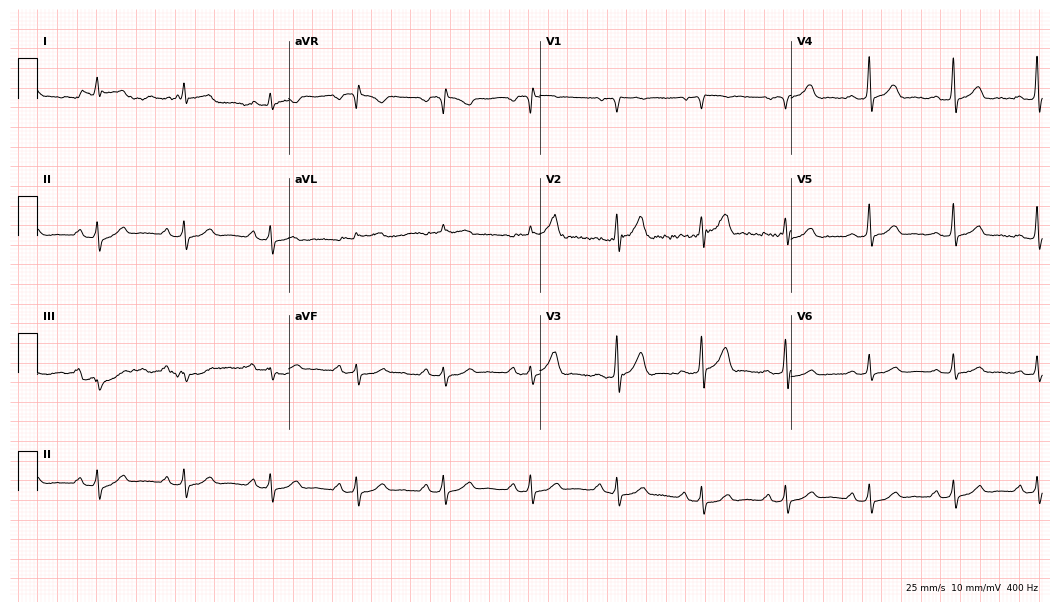
12-lead ECG from a male, 68 years old. Screened for six findings — first-degree AV block, right bundle branch block, left bundle branch block, sinus bradycardia, atrial fibrillation, sinus tachycardia — none is recorded. Findings outside these six are not listed.